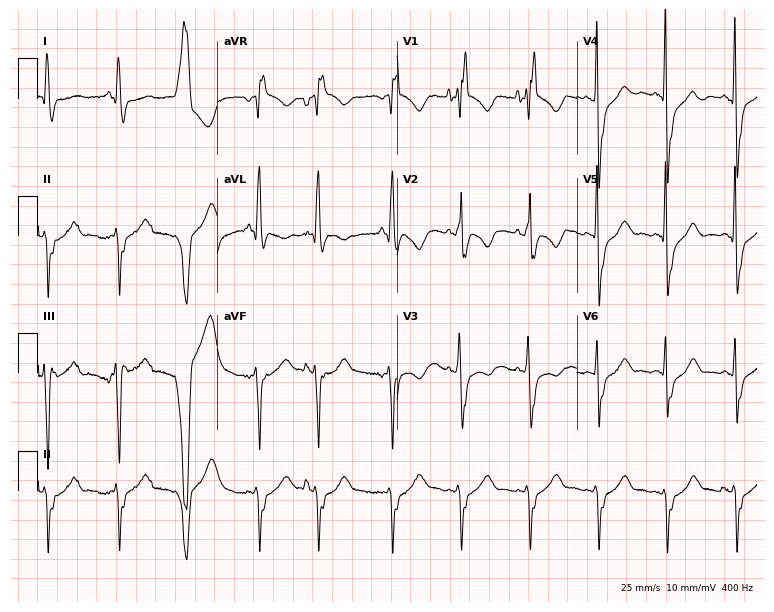
ECG (7.3-second recording at 400 Hz) — a man, 57 years old. Findings include right bundle branch block.